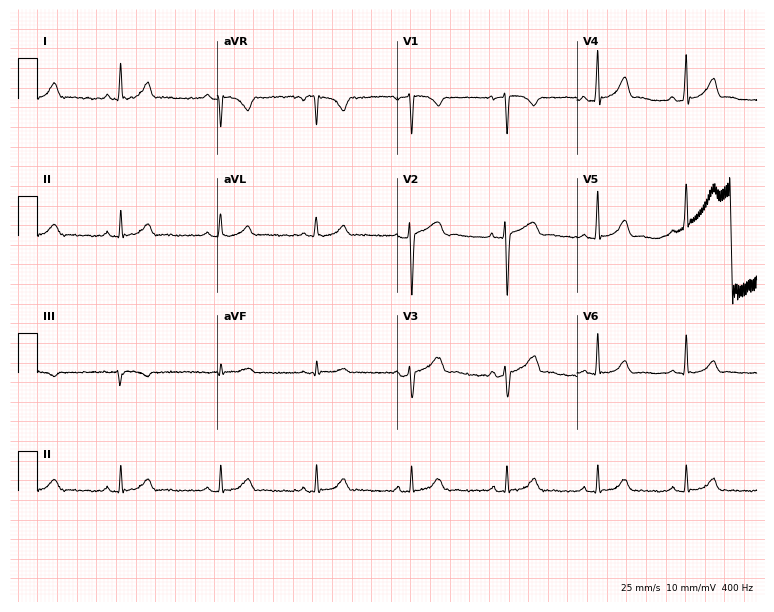
Standard 12-lead ECG recorded from a 34-year-old male. None of these six findings is recorded: first-degree AV block, right bundle branch block, left bundle branch block, sinus bradycardia, atrial fibrillation, sinus tachycardia. Other findings, if any, are not listed.